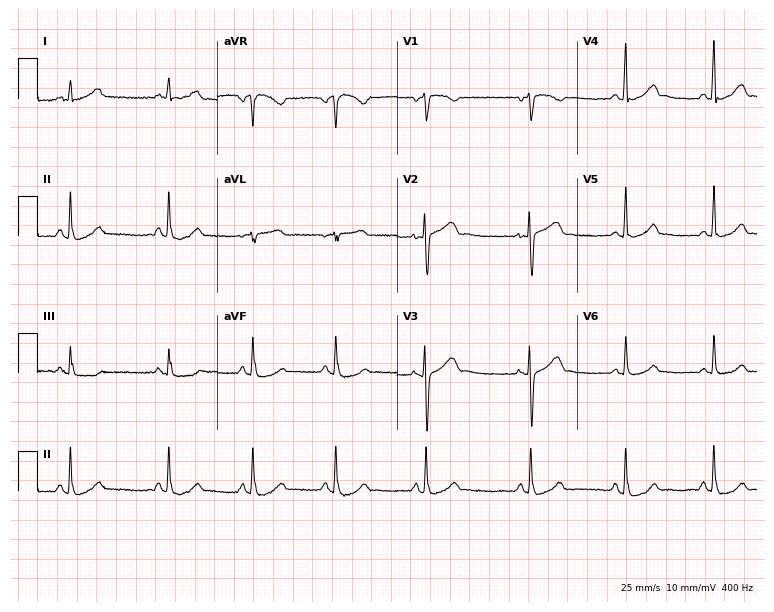
Standard 12-lead ECG recorded from a woman, 17 years old. None of these six findings is recorded: first-degree AV block, right bundle branch block, left bundle branch block, sinus bradycardia, atrial fibrillation, sinus tachycardia. Only these six findings were labelled.